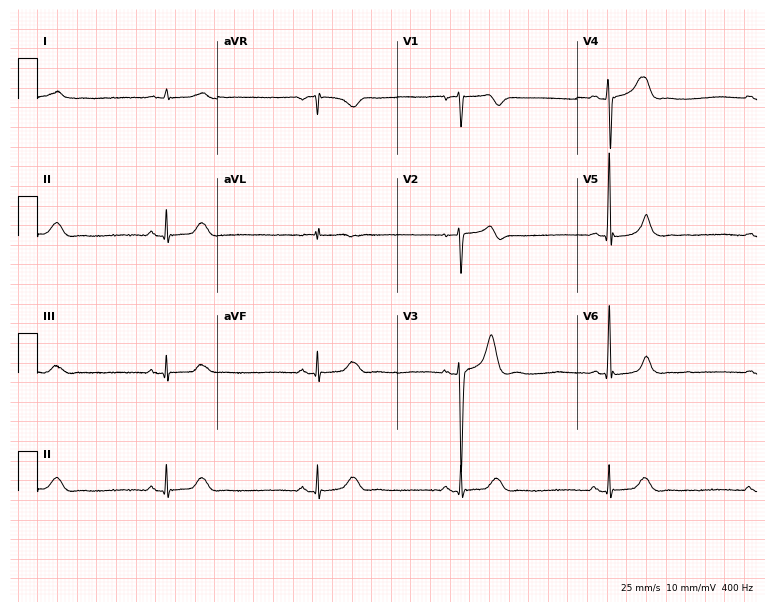
Electrocardiogram (7.3-second recording at 400 Hz), a male, 60 years old. Interpretation includes sinus bradycardia (a sinus rate of 50 beats per minute or less).